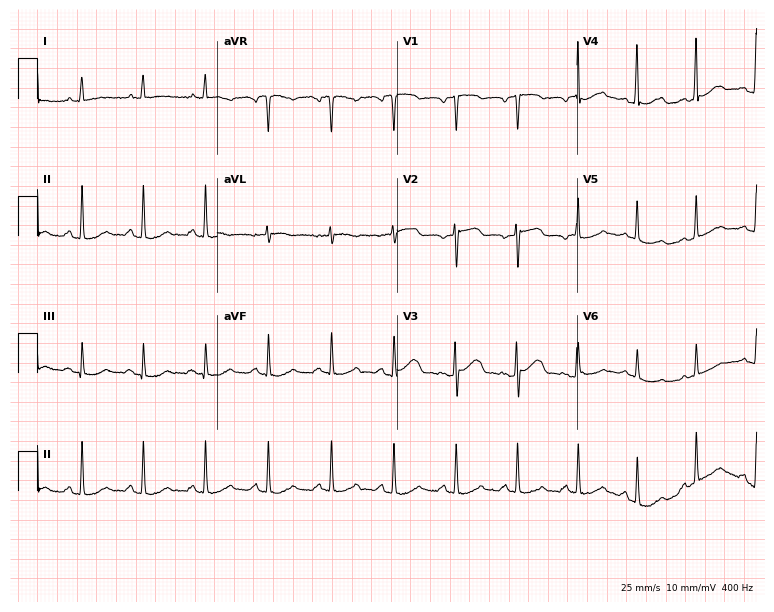
Resting 12-lead electrocardiogram. Patient: a 53-year-old woman. Read as a normal ECG.